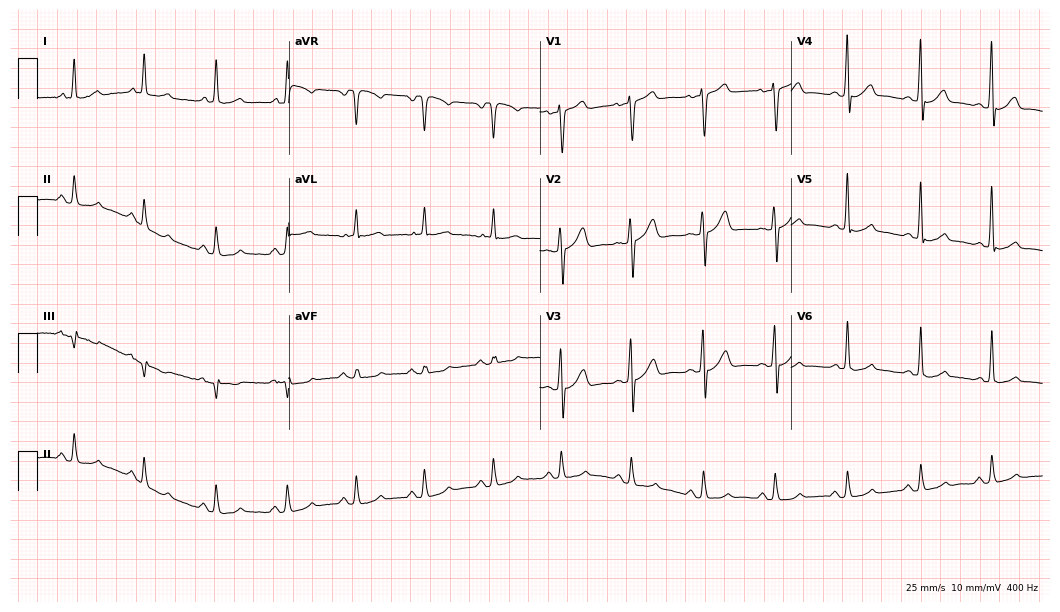
12-lead ECG from a man, 59 years old. Recorded interpretation: within normal limits.